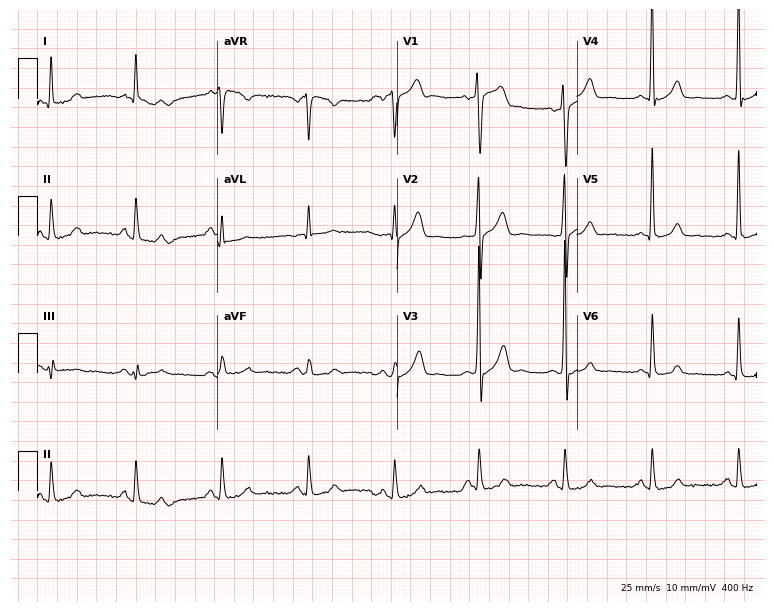
Electrocardiogram (7.3-second recording at 400 Hz), a male patient, 59 years old. Of the six screened findings (first-degree AV block, right bundle branch block (RBBB), left bundle branch block (LBBB), sinus bradycardia, atrial fibrillation (AF), sinus tachycardia), none is recorded. Only these six findings were labelled.